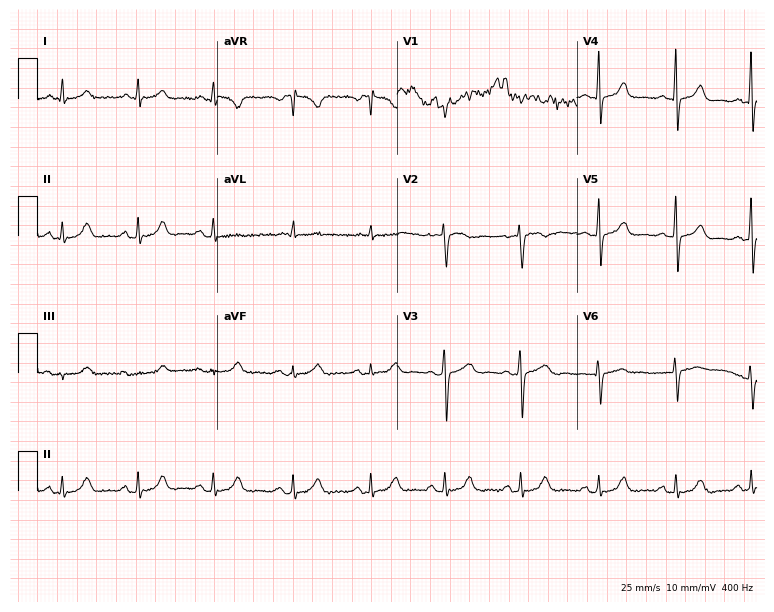
Resting 12-lead electrocardiogram. Patient: a 36-year-old woman. Read as a normal ECG.